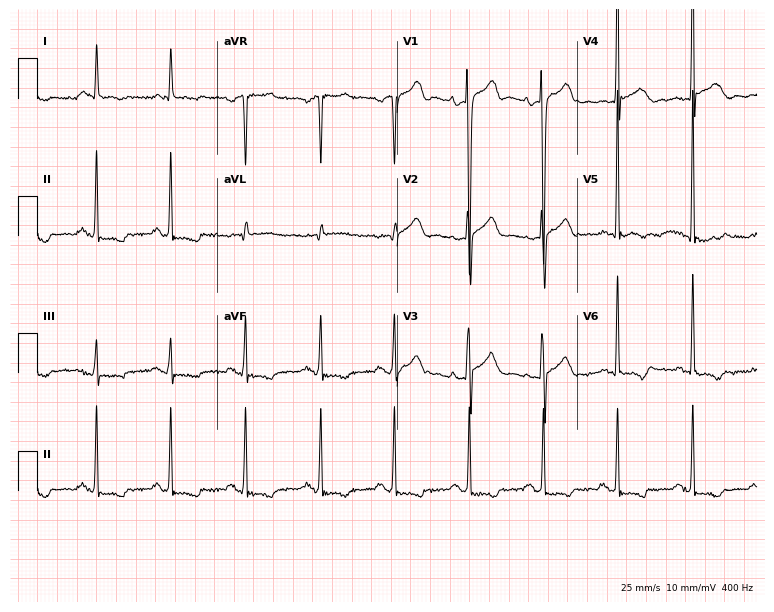
Resting 12-lead electrocardiogram (7.3-second recording at 400 Hz). Patient: a male, 82 years old. None of these six findings is recorded: first-degree AV block, right bundle branch block (RBBB), left bundle branch block (LBBB), sinus bradycardia, atrial fibrillation (AF), sinus tachycardia. Only these six findings were labelled.